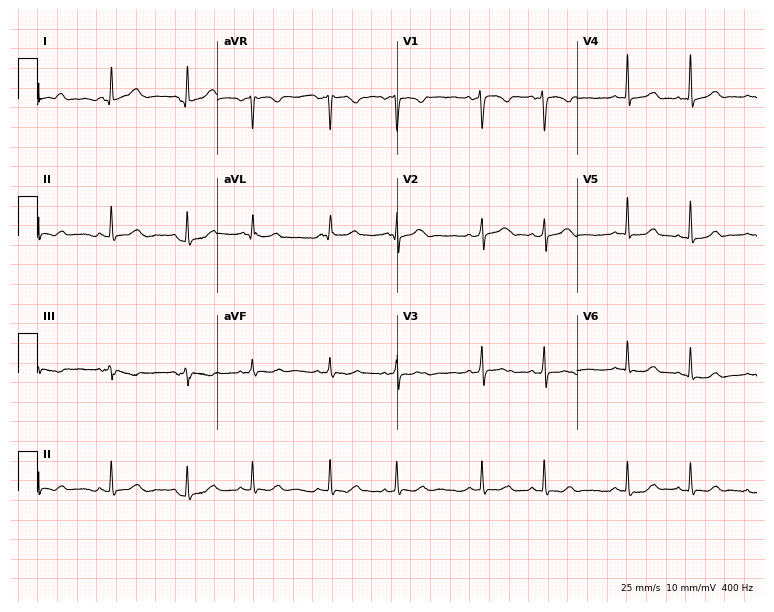
Resting 12-lead electrocardiogram. Patient: a female, 30 years old. Read as a normal ECG.